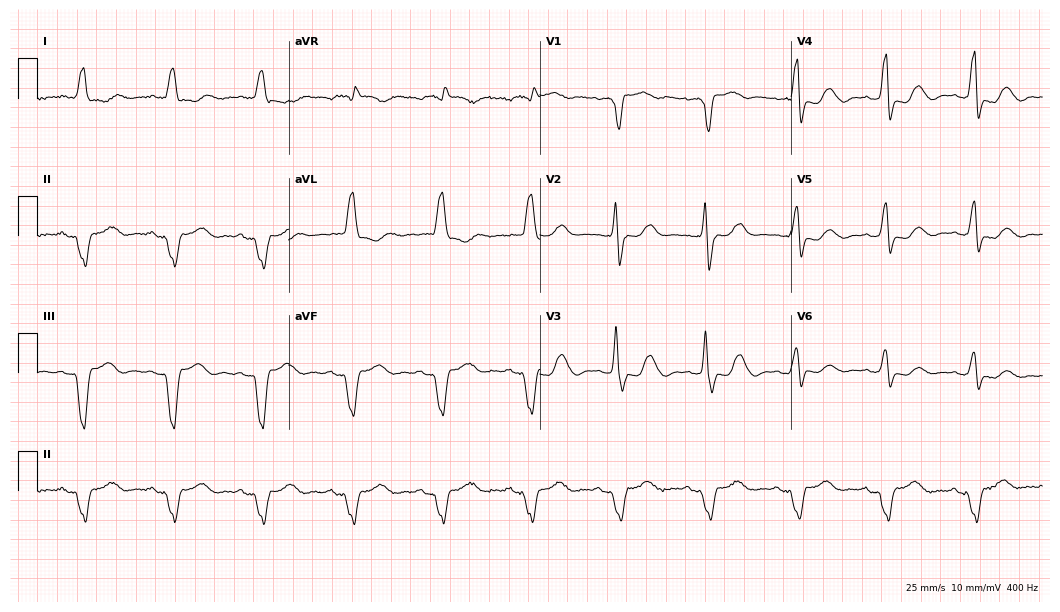
Standard 12-lead ECG recorded from a 76-year-old female patient (10.2-second recording at 400 Hz). The tracing shows left bundle branch block (LBBB).